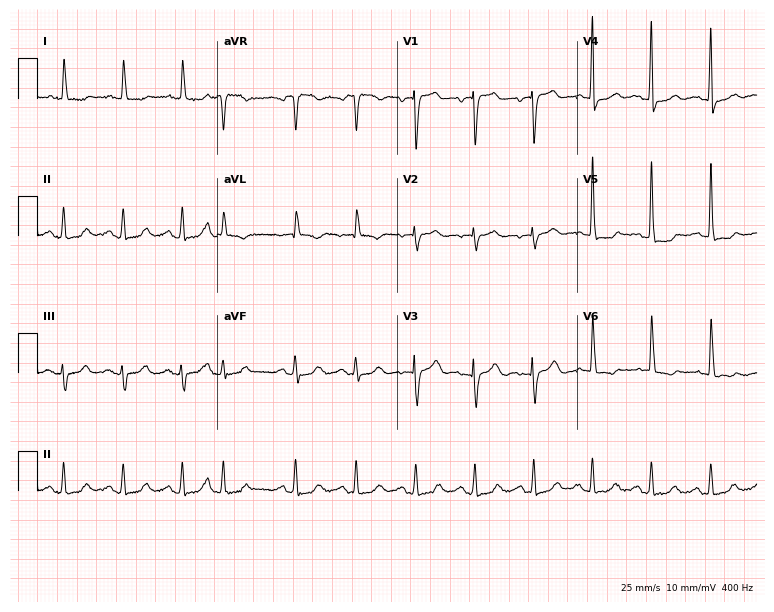
Electrocardiogram (7.3-second recording at 400 Hz), a female patient, 80 years old. Of the six screened findings (first-degree AV block, right bundle branch block (RBBB), left bundle branch block (LBBB), sinus bradycardia, atrial fibrillation (AF), sinus tachycardia), none is recorded.